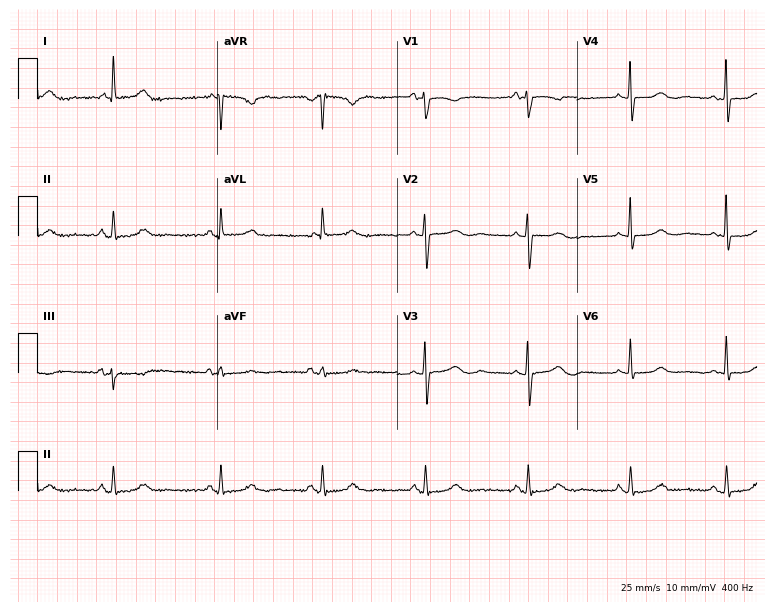
12-lead ECG from a woman, 84 years old. Recorded interpretation: within normal limits.